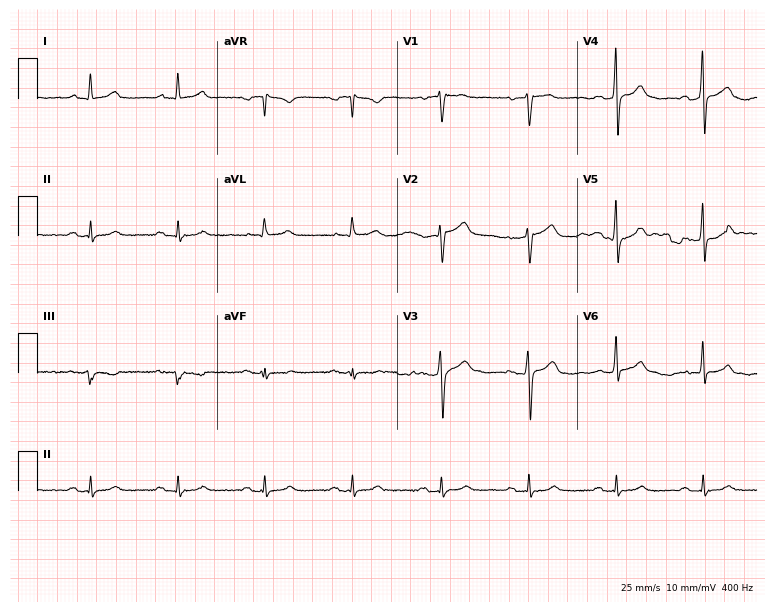
ECG — a man, 59 years old. Screened for six findings — first-degree AV block, right bundle branch block (RBBB), left bundle branch block (LBBB), sinus bradycardia, atrial fibrillation (AF), sinus tachycardia — none is recorded. Findings outside these six are not listed.